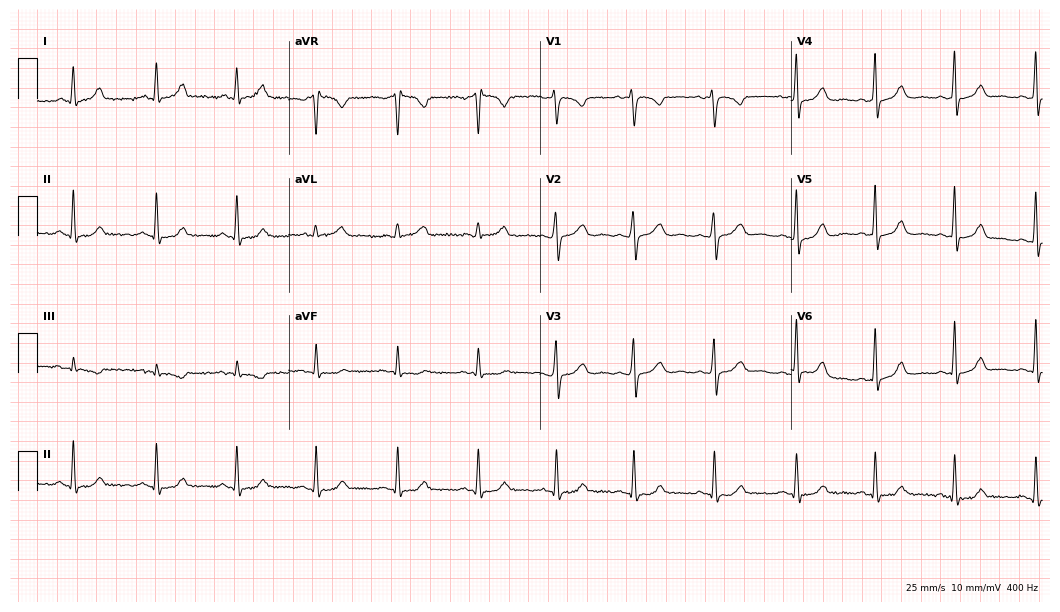
Standard 12-lead ECG recorded from a female, 36 years old. Read as a normal ECG.